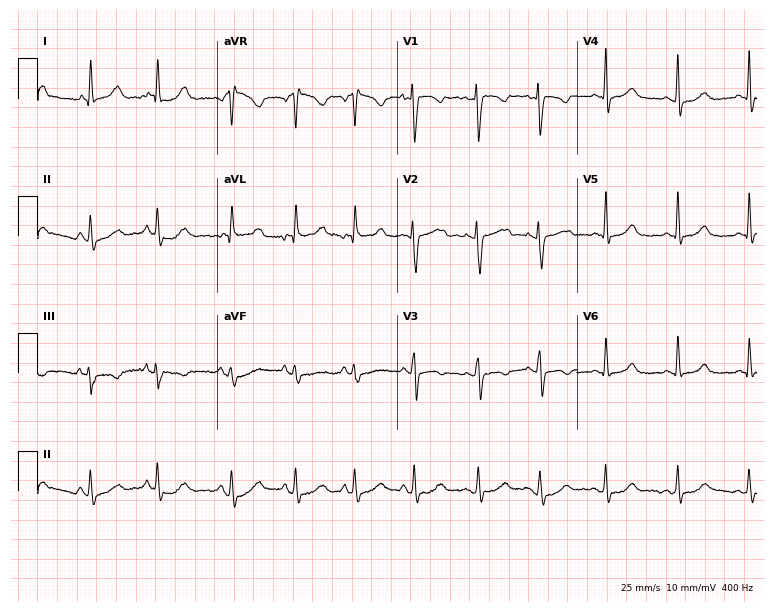
ECG (7.3-second recording at 400 Hz) — a woman, 21 years old. Screened for six findings — first-degree AV block, right bundle branch block, left bundle branch block, sinus bradycardia, atrial fibrillation, sinus tachycardia — none is recorded. Findings outside these six are not listed.